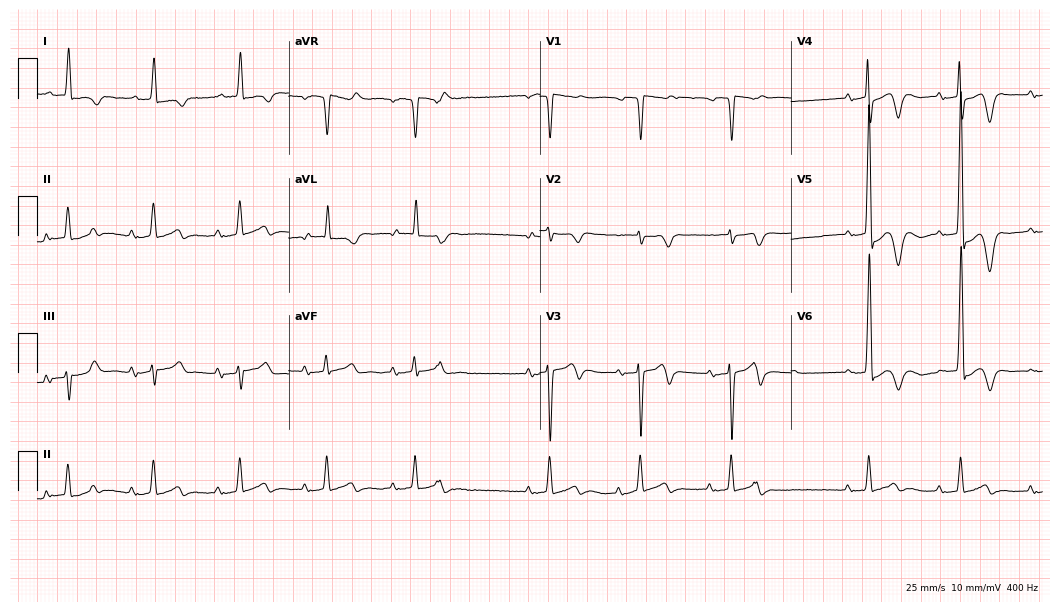
12-lead ECG from a 77-year-old man. No first-degree AV block, right bundle branch block (RBBB), left bundle branch block (LBBB), sinus bradycardia, atrial fibrillation (AF) or sinus tachycardia recorded for this tracing.